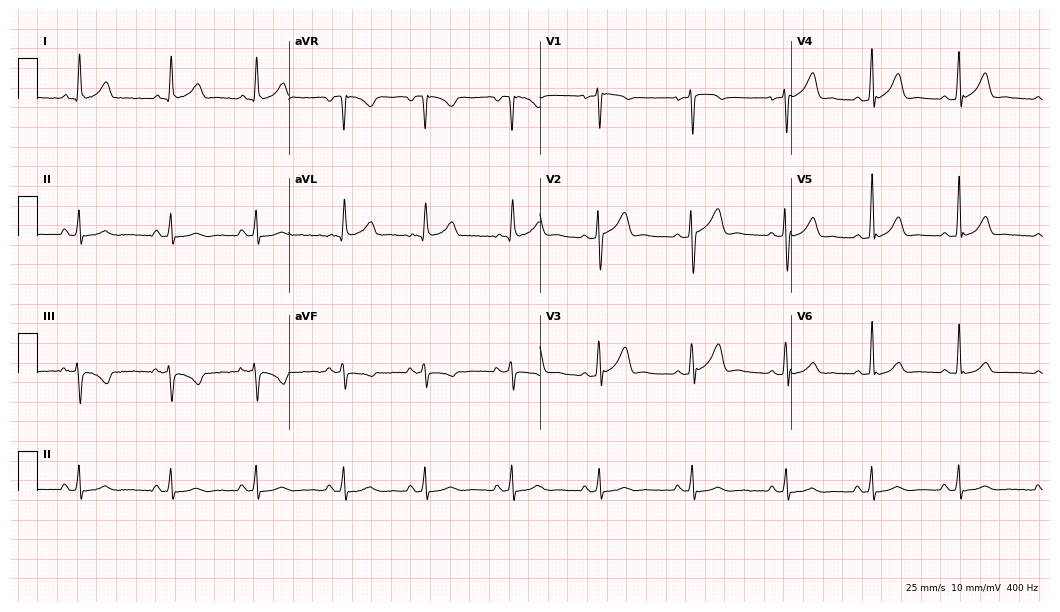
Electrocardiogram, a 37-year-old female patient. Overall reading on record: normal ECG.